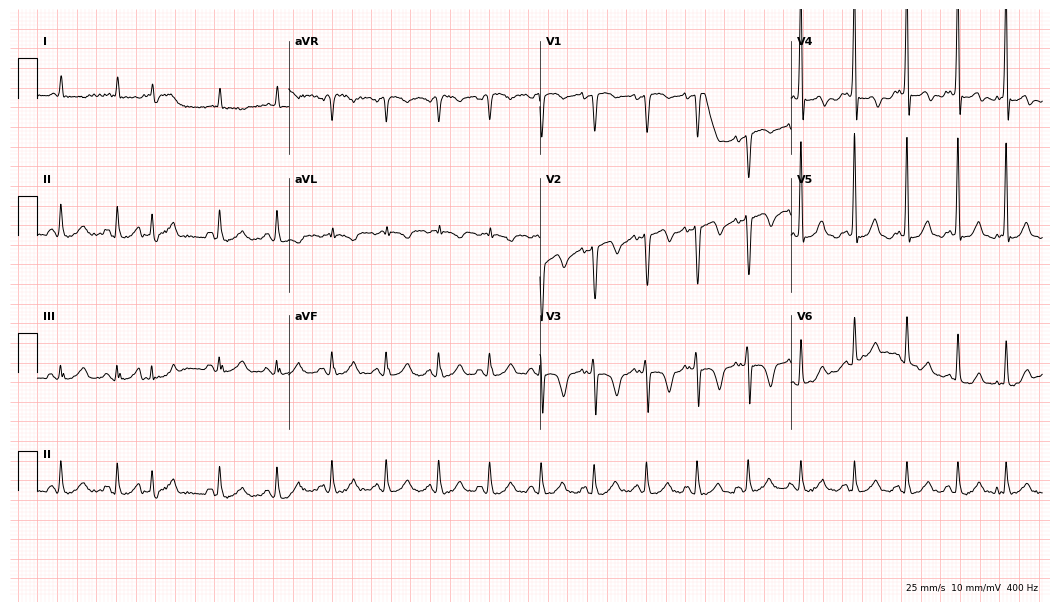
ECG (10.2-second recording at 400 Hz) — an 84-year-old female patient. Screened for six findings — first-degree AV block, right bundle branch block, left bundle branch block, sinus bradycardia, atrial fibrillation, sinus tachycardia — none is recorded. Only these six findings were labelled.